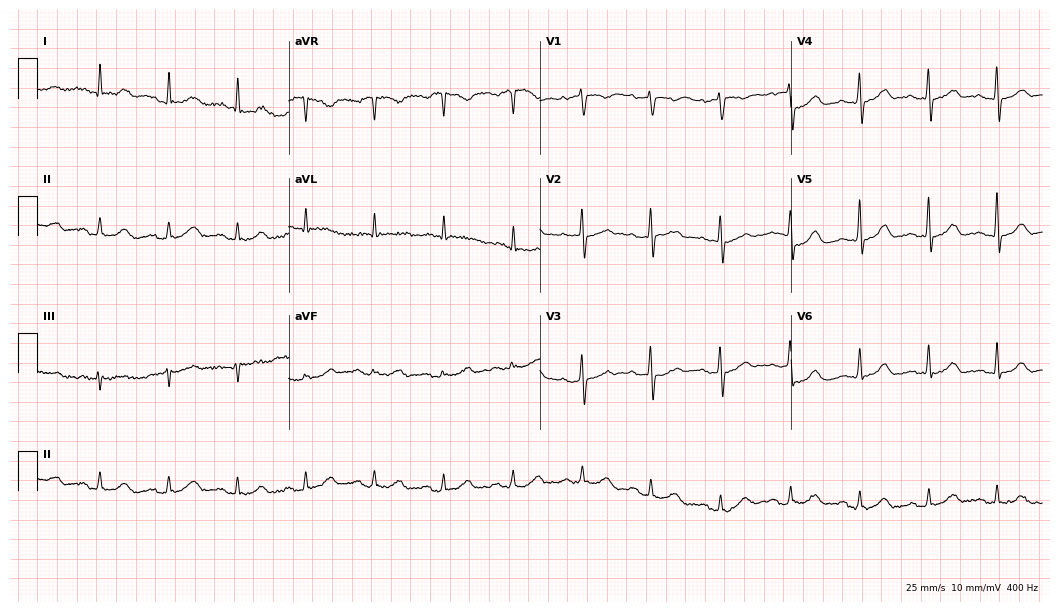
Electrocardiogram (10.2-second recording at 400 Hz), a female, 83 years old. Overall reading on record: normal ECG.